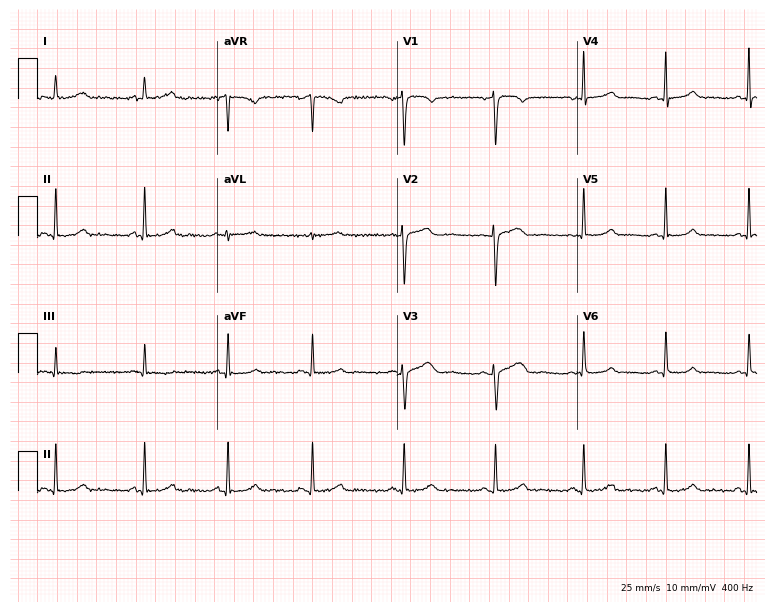
Resting 12-lead electrocardiogram (7.3-second recording at 400 Hz). Patient: a 35-year-old woman. None of these six findings is recorded: first-degree AV block, right bundle branch block, left bundle branch block, sinus bradycardia, atrial fibrillation, sinus tachycardia. Other findings, if any, are not listed.